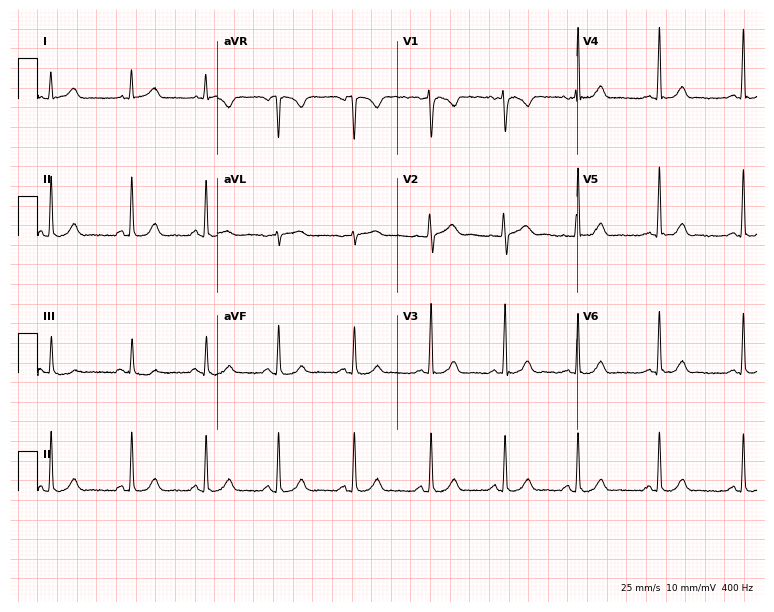
Electrocardiogram (7.3-second recording at 400 Hz), a 31-year-old female. Overall reading on record: normal ECG.